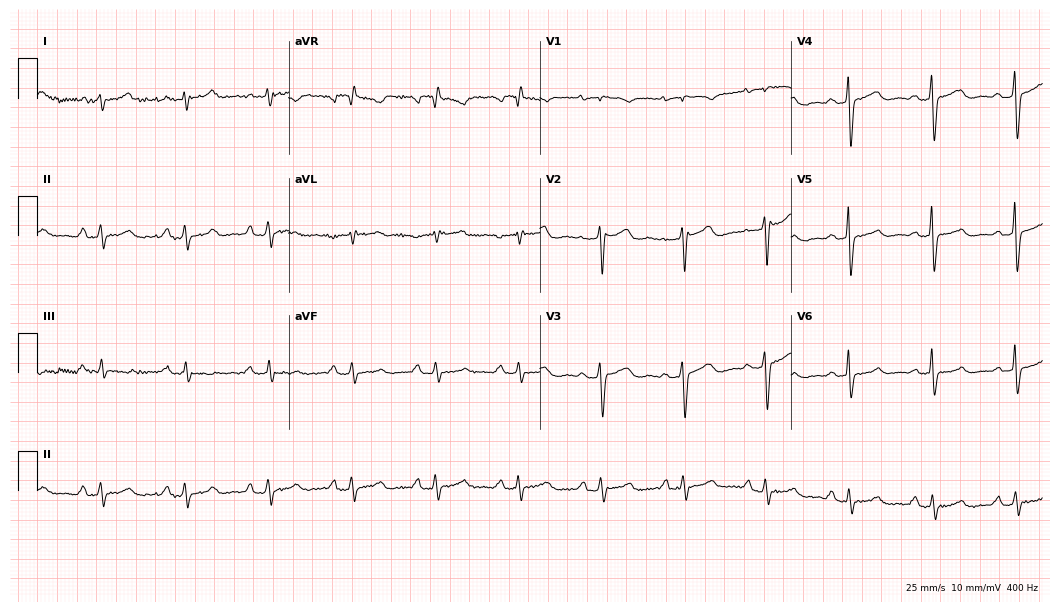
12-lead ECG (10.2-second recording at 400 Hz) from a 49-year-old female patient. Labelled as a normal ECG.